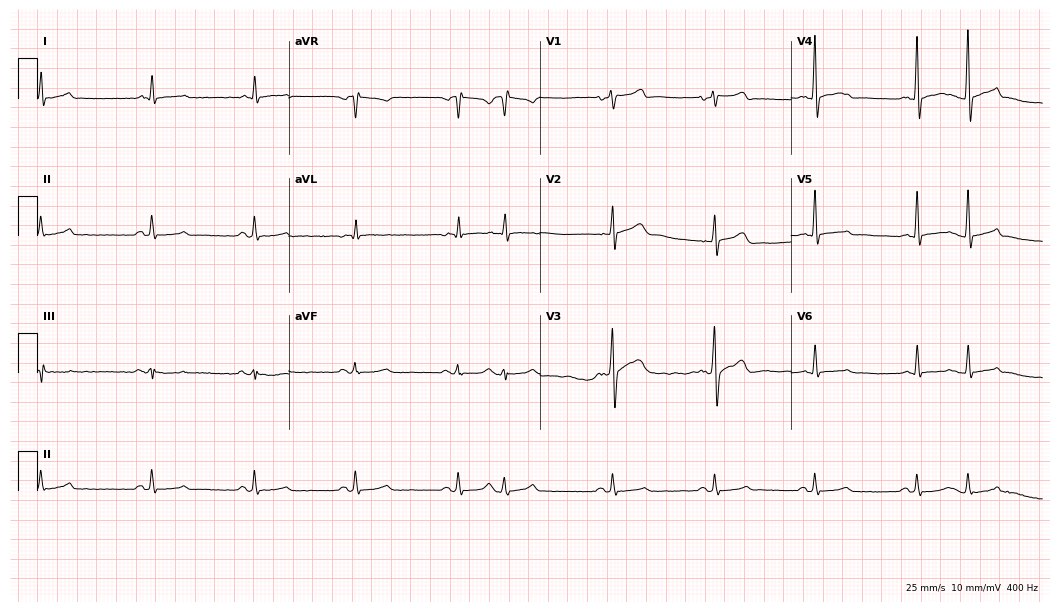
12-lead ECG from a 65-year-old male patient. No first-degree AV block, right bundle branch block, left bundle branch block, sinus bradycardia, atrial fibrillation or sinus tachycardia recorded for this tracing.